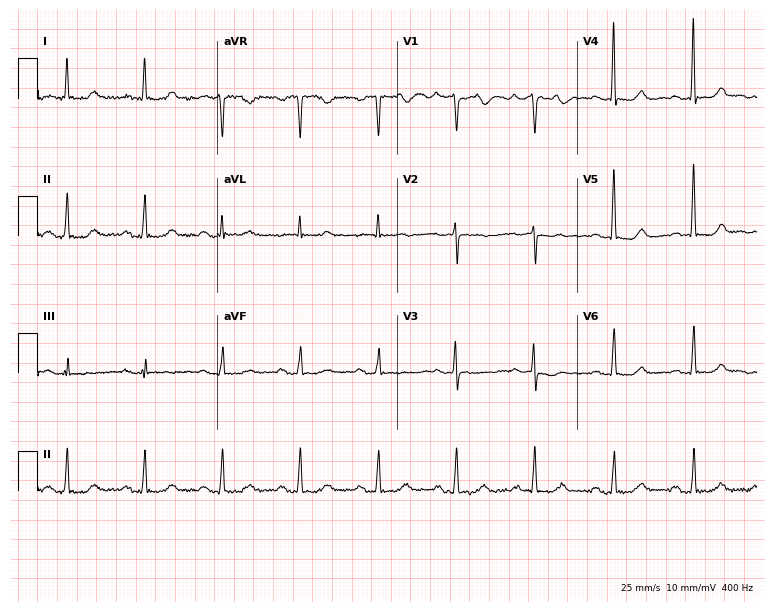
Standard 12-lead ECG recorded from a 74-year-old female. None of these six findings is recorded: first-degree AV block, right bundle branch block, left bundle branch block, sinus bradycardia, atrial fibrillation, sinus tachycardia. Findings outside these six are not listed.